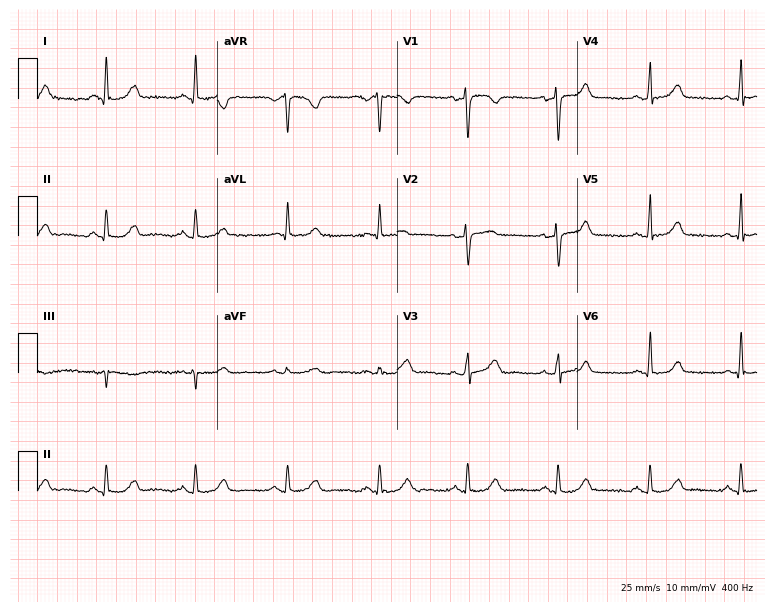
12-lead ECG from a 35-year-old female. Labelled as a normal ECG.